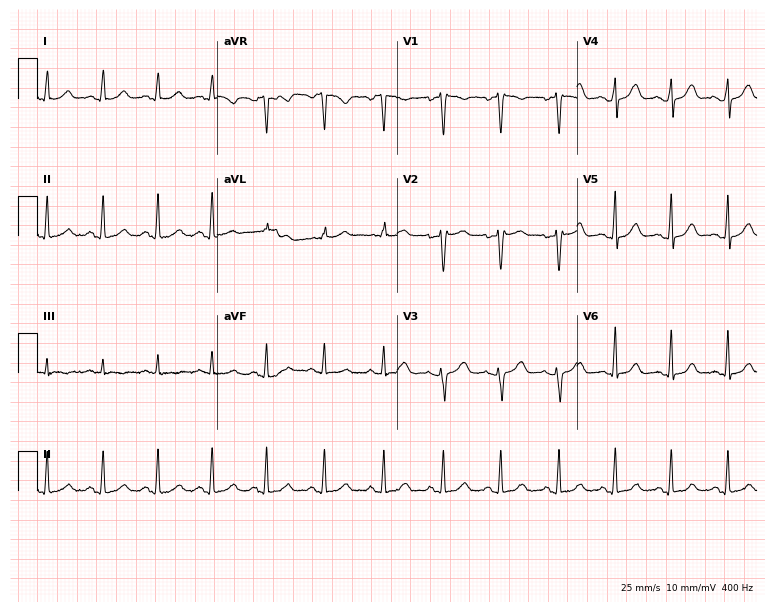
Electrocardiogram (7.3-second recording at 400 Hz), a female patient, 32 years old. Interpretation includes sinus tachycardia (a sinus rate of 100 beats per minute or more).